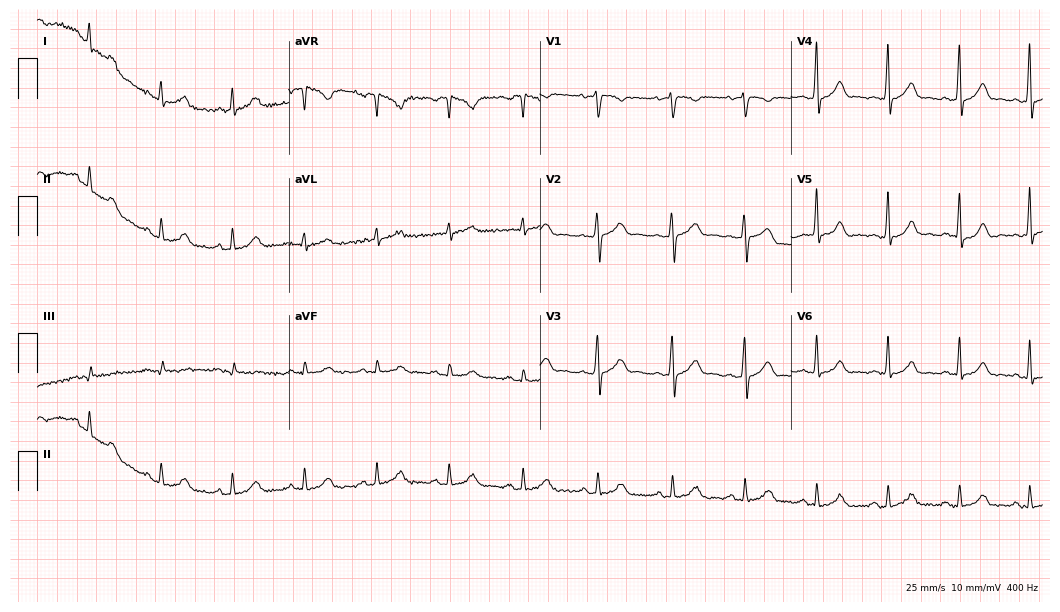
Standard 12-lead ECG recorded from a 32-year-old woman (10.2-second recording at 400 Hz). Read as a normal ECG.